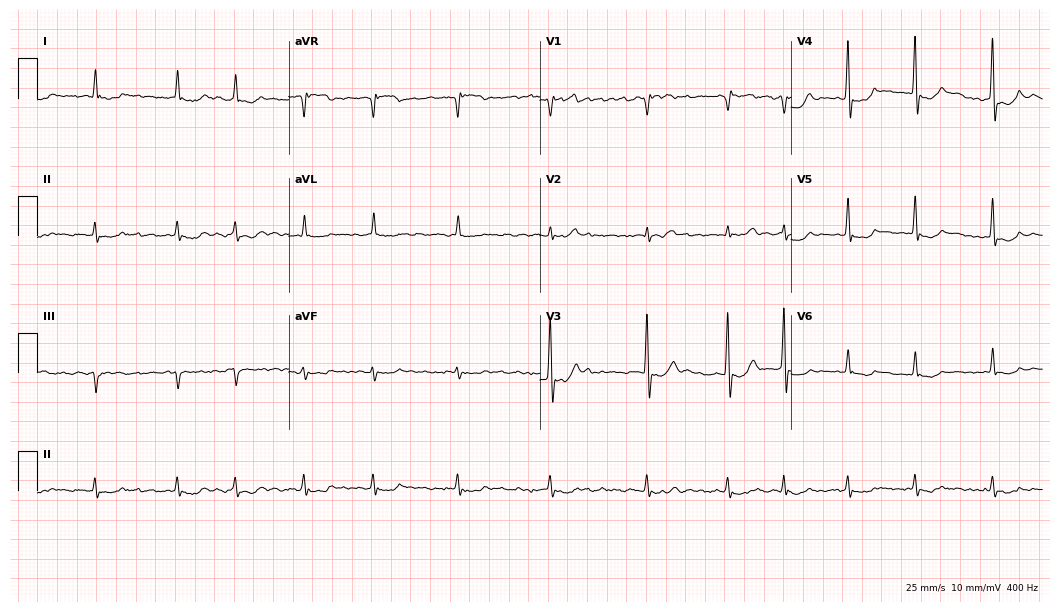
12-lead ECG (10.2-second recording at 400 Hz) from a 74-year-old male patient. Findings include atrial fibrillation.